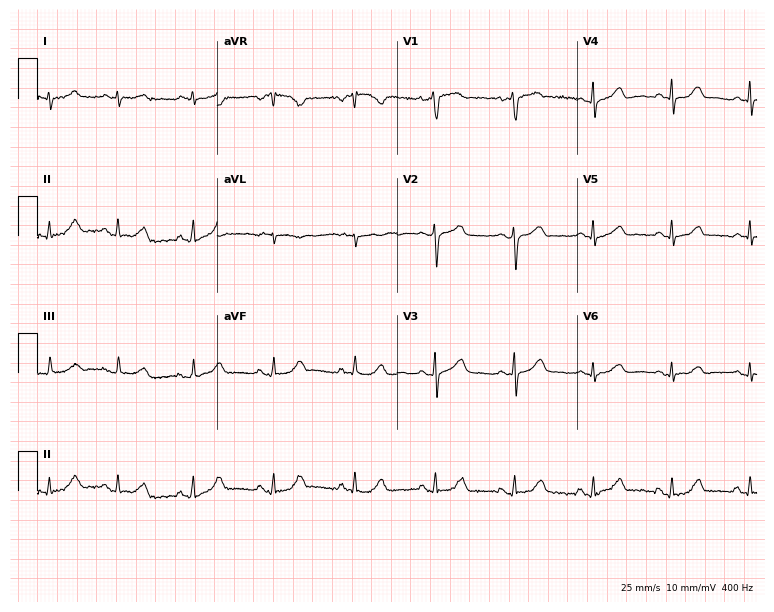
ECG (7.3-second recording at 400 Hz) — a female, 51 years old. Screened for six findings — first-degree AV block, right bundle branch block (RBBB), left bundle branch block (LBBB), sinus bradycardia, atrial fibrillation (AF), sinus tachycardia — none is recorded. Findings outside these six are not listed.